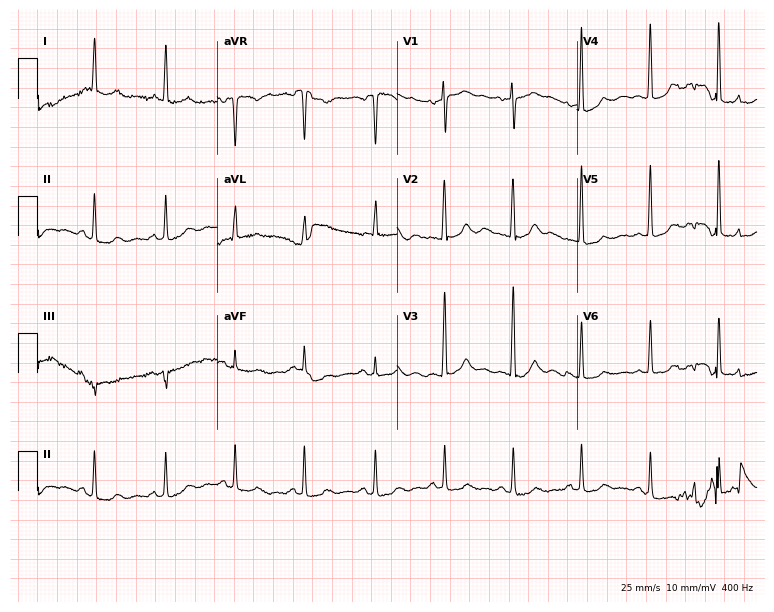
ECG — an 81-year-old female patient. Screened for six findings — first-degree AV block, right bundle branch block (RBBB), left bundle branch block (LBBB), sinus bradycardia, atrial fibrillation (AF), sinus tachycardia — none is recorded. Other findings, if any, are not listed.